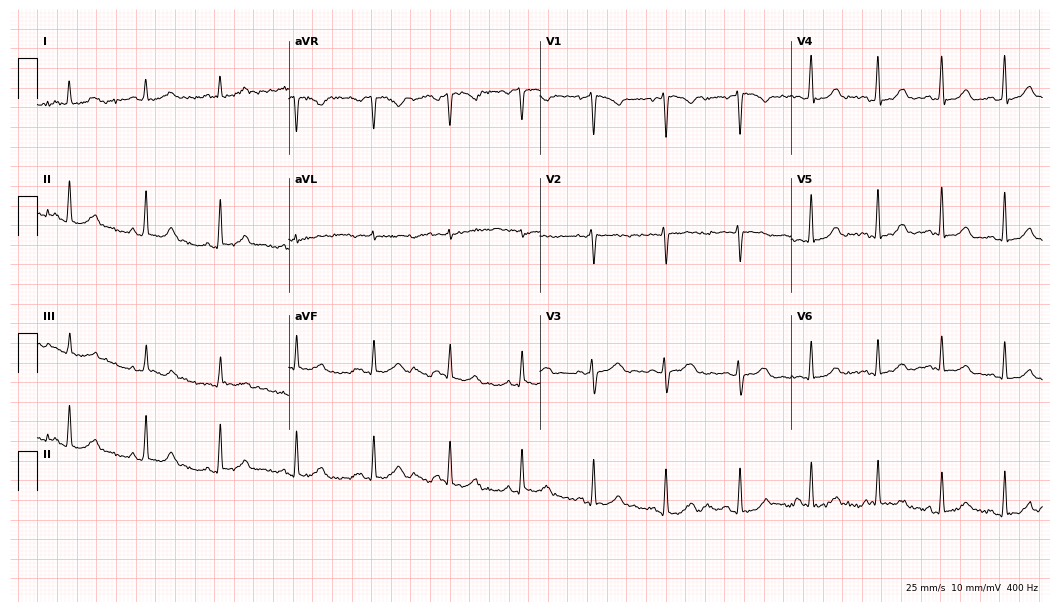
Electrocardiogram, a 32-year-old woman. Of the six screened findings (first-degree AV block, right bundle branch block, left bundle branch block, sinus bradycardia, atrial fibrillation, sinus tachycardia), none is recorded.